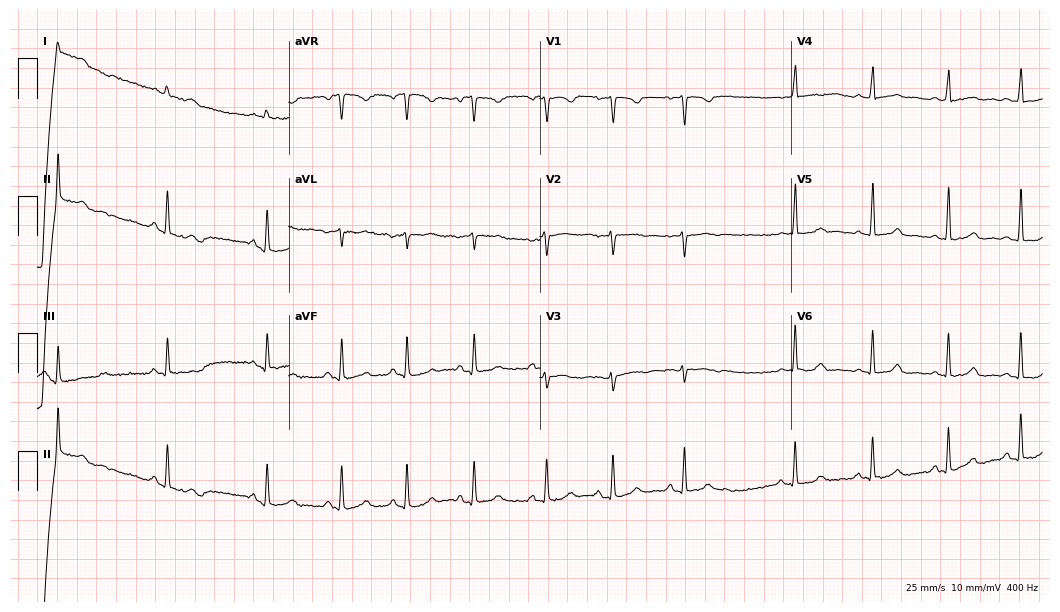
Electrocardiogram (10.2-second recording at 400 Hz), a woman, 25 years old. Of the six screened findings (first-degree AV block, right bundle branch block, left bundle branch block, sinus bradycardia, atrial fibrillation, sinus tachycardia), none is recorded.